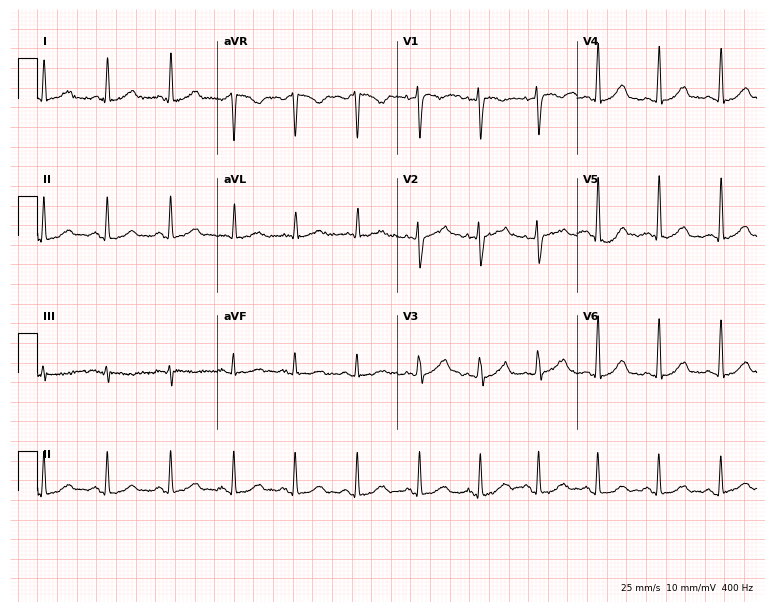
Electrocardiogram, a male patient, 47 years old. Overall reading on record: normal ECG.